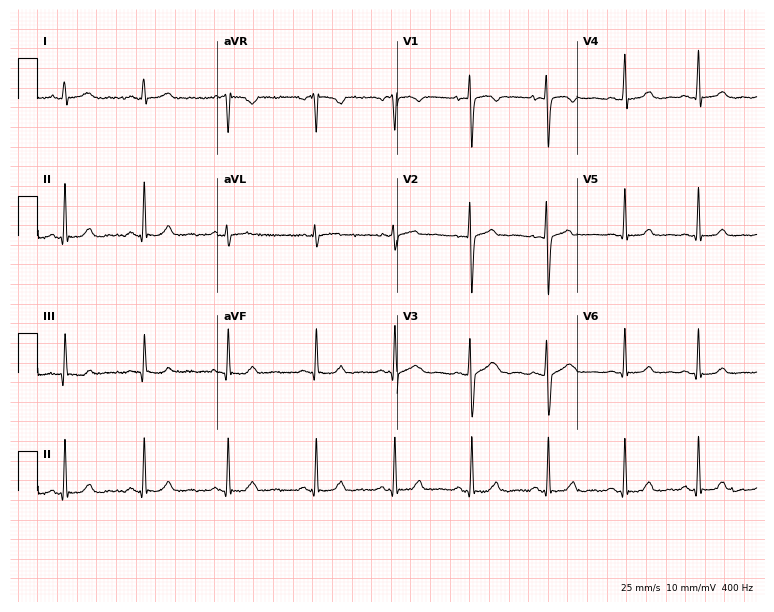
Electrocardiogram (7.3-second recording at 400 Hz), a 25-year-old female. Overall reading on record: normal ECG.